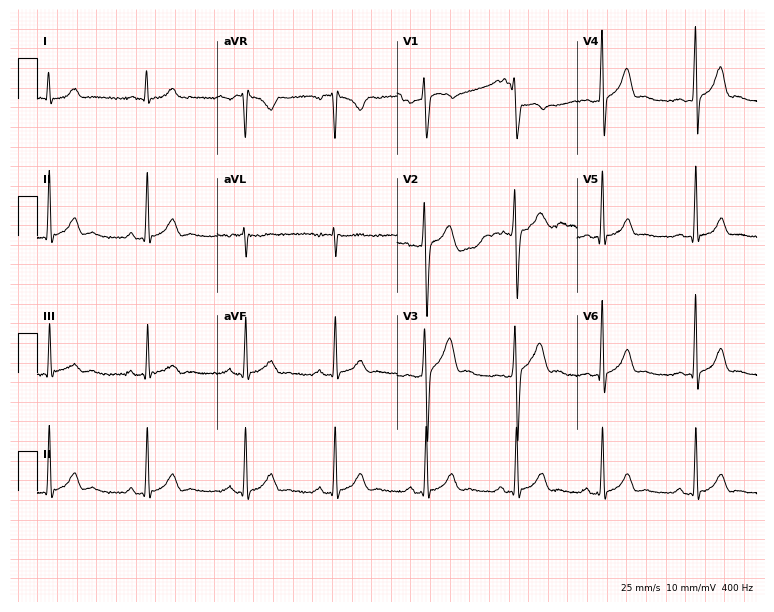
Electrocardiogram (7.3-second recording at 400 Hz), a 23-year-old male. Overall reading on record: normal ECG.